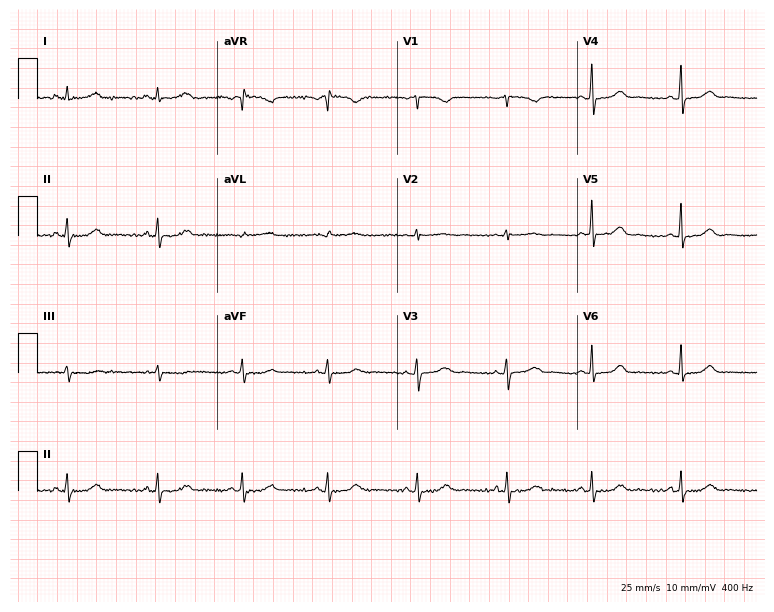
Standard 12-lead ECG recorded from a 26-year-old female (7.3-second recording at 400 Hz). Read as a normal ECG.